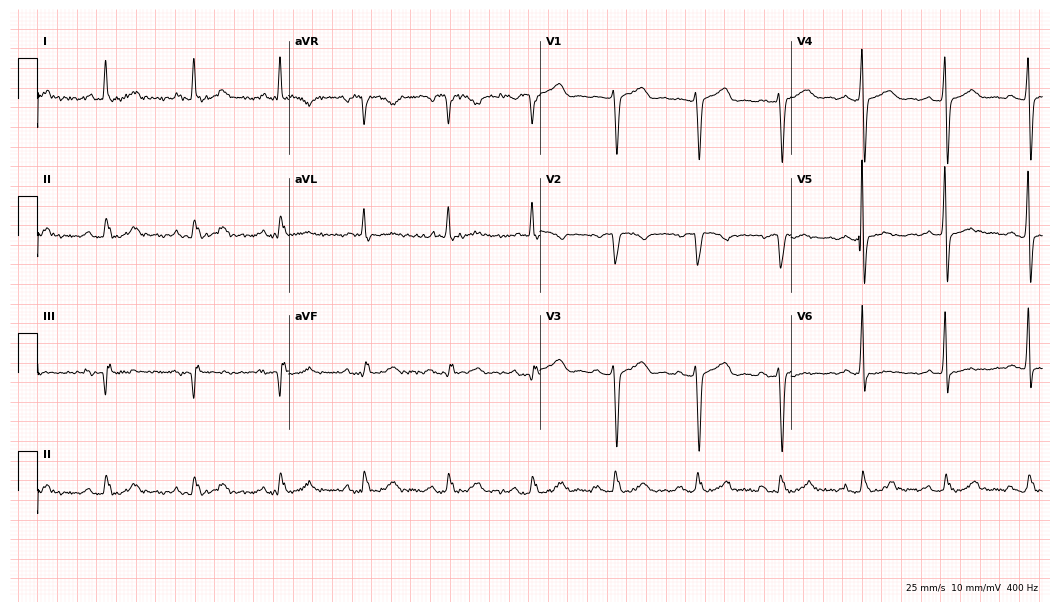
12-lead ECG (10.2-second recording at 400 Hz) from a 49-year-old male patient. Screened for six findings — first-degree AV block, right bundle branch block (RBBB), left bundle branch block (LBBB), sinus bradycardia, atrial fibrillation (AF), sinus tachycardia — none is recorded.